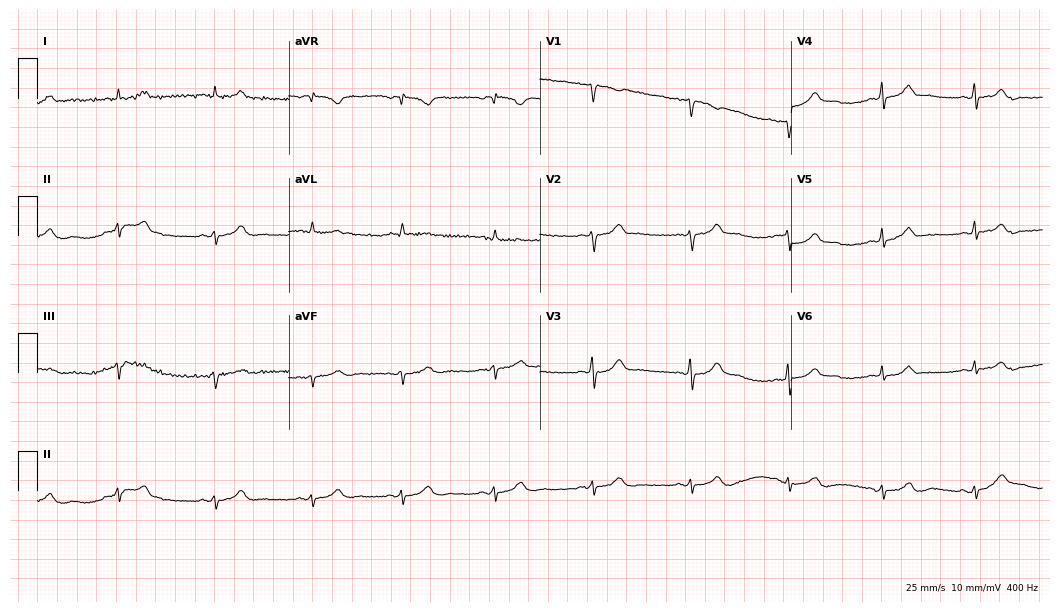
ECG — a 42-year-old woman. Screened for six findings — first-degree AV block, right bundle branch block, left bundle branch block, sinus bradycardia, atrial fibrillation, sinus tachycardia — none is recorded.